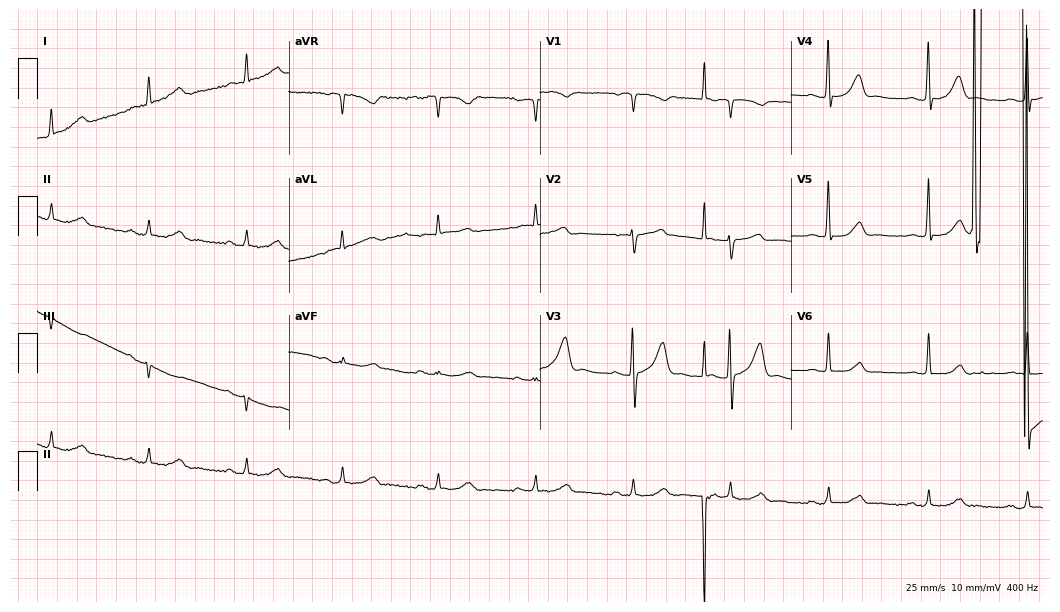
Resting 12-lead electrocardiogram (10.2-second recording at 400 Hz). Patient: a 73-year-old man. Read as a normal ECG.